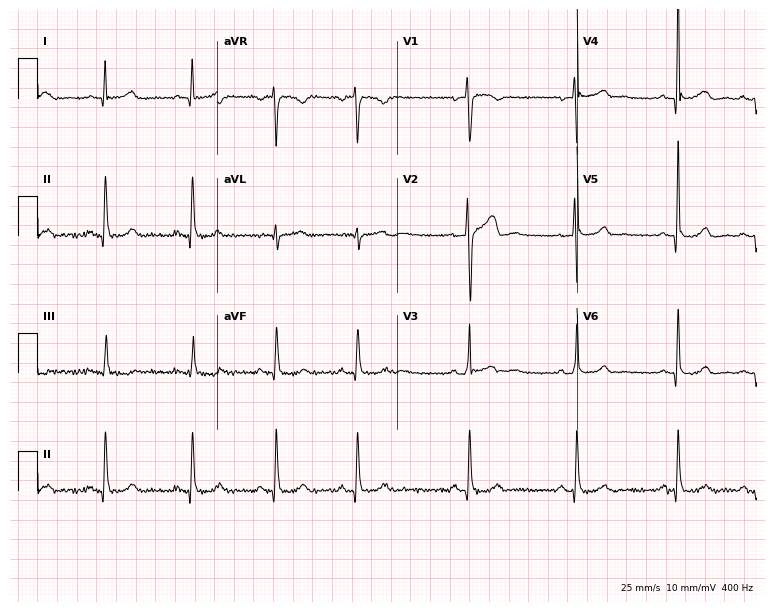
12-lead ECG (7.3-second recording at 400 Hz) from a man, 38 years old. Screened for six findings — first-degree AV block, right bundle branch block, left bundle branch block, sinus bradycardia, atrial fibrillation, sinus tachycardia — none is recorded.